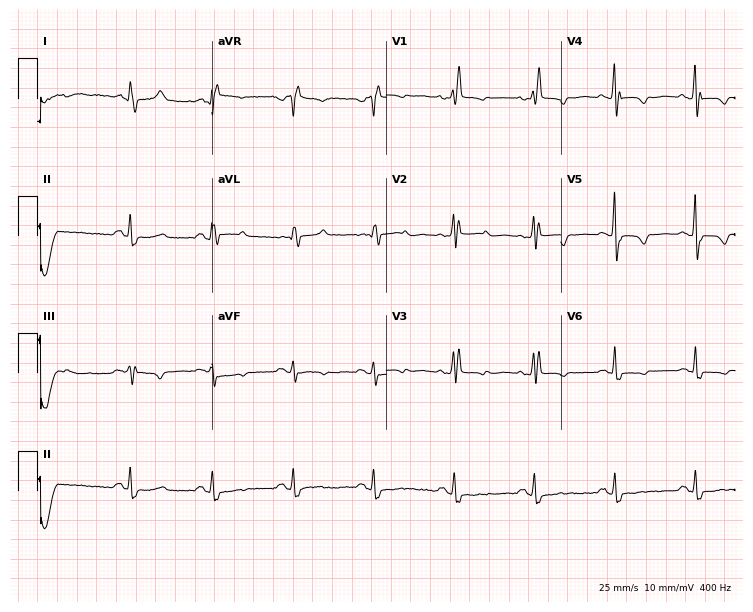
12-lead ECG (7.1-second recording at 400 Hz) from a 75-year-old female. Findings include right bundle branch block.